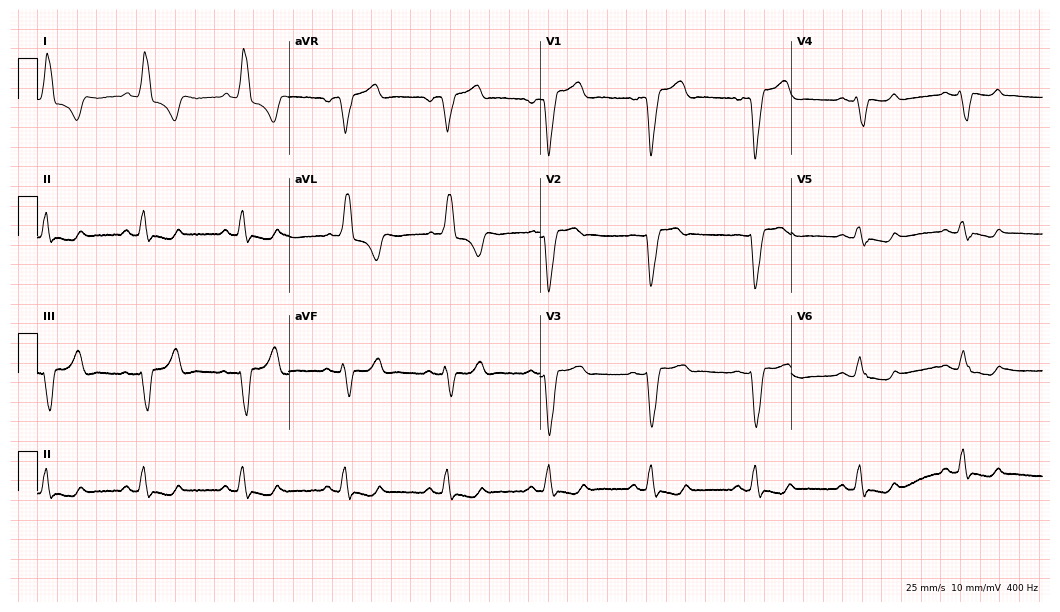
12-lead ECG from a 67-year-old female patient (10.2-second recording at 400 Hz). Shows left bundle branch block.